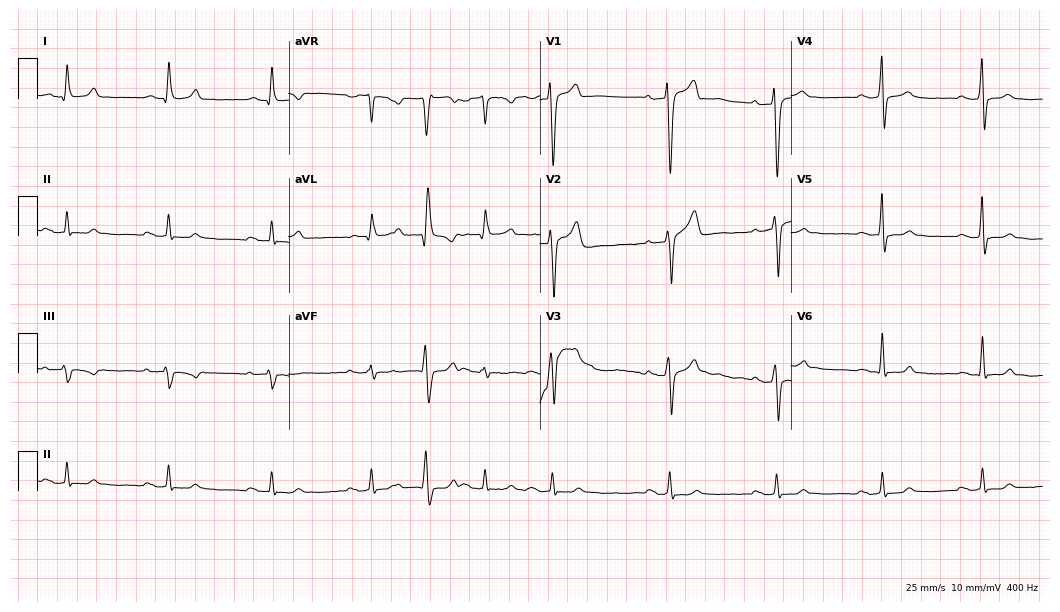
Standard 12-lead ECG recorded from a 48-year-old male patient. None of these six findings is recorded: first-degree AV block, right bundle branch block (RBBB), left bundle branch block (LBBB), sinus bradycardia, atrial fibrillation (AF), sinus tachycardia. Only these six findings were labelled.